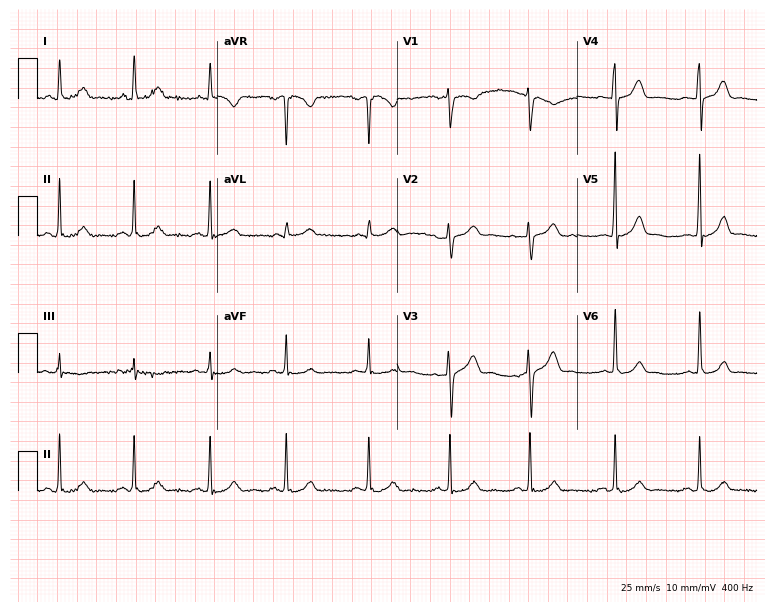
12-lead ECG from a female patient, 23 years old. Recorded interpretation: within normal limits.